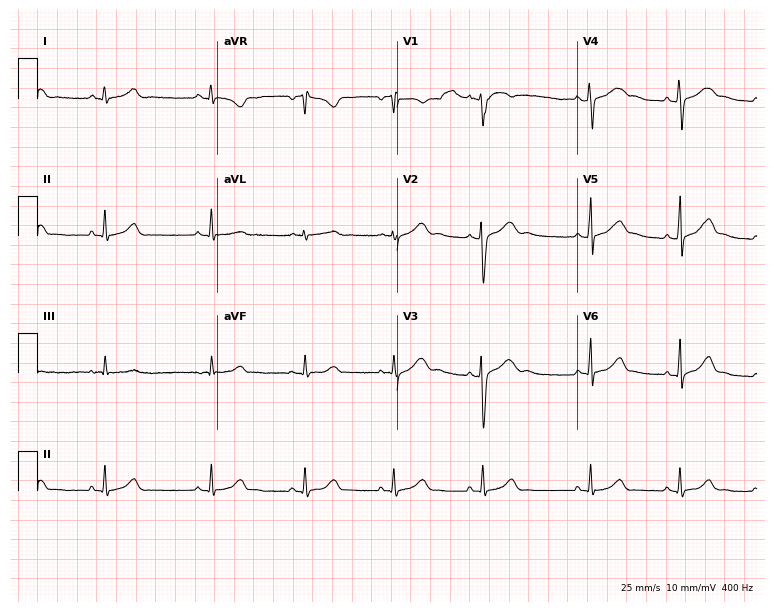
12-lead ECG from a woman, 17 years old. Labelled as a normal ECG.